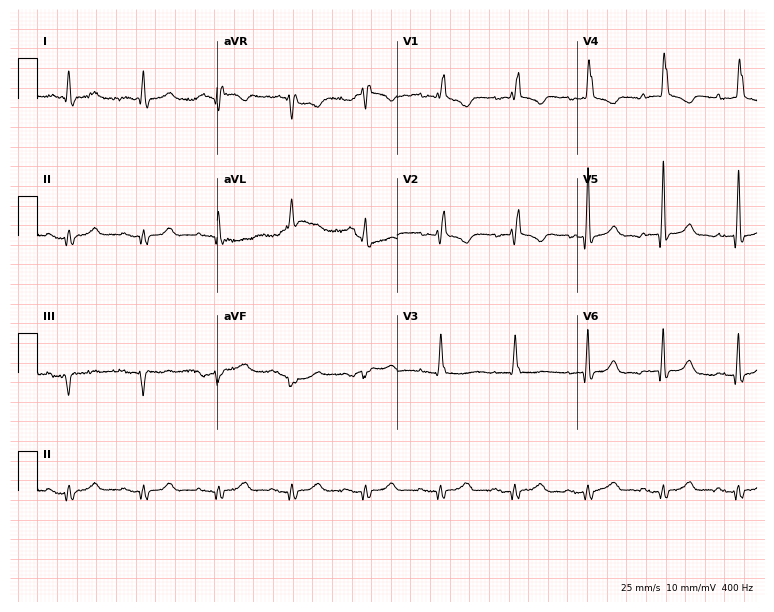
12-lead ECG from a woman, 82 years old. Findings include right bundle branch block.